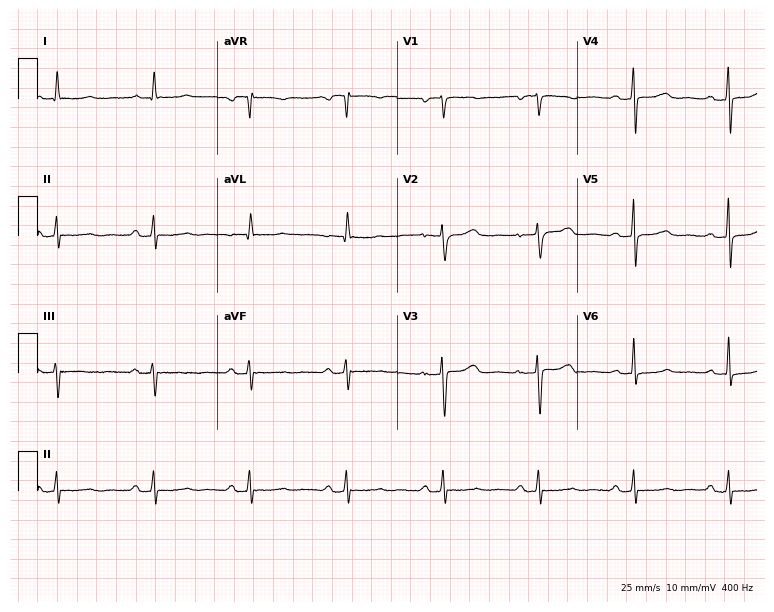
12-lead ECG from a woman, 69 years old. Recorded interpretation: within normal limits.